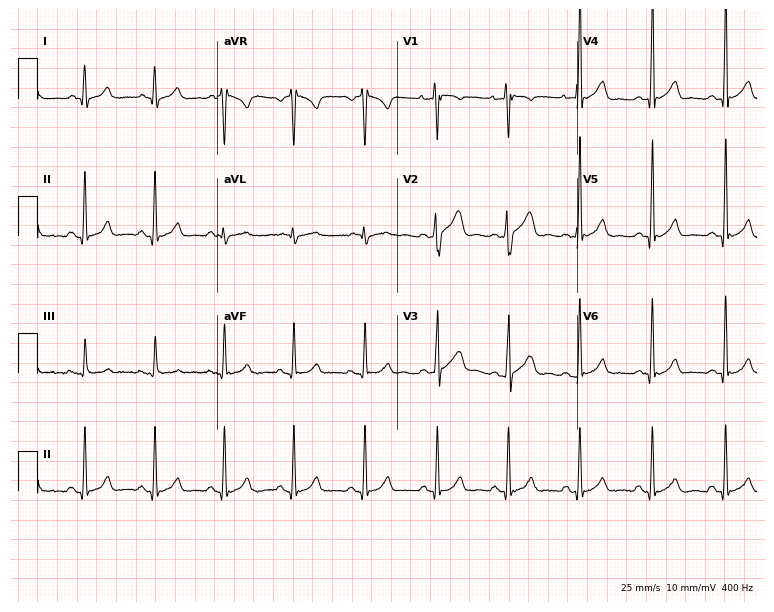
ECG — a 31-year-old male. Labelled as a normal ECG.